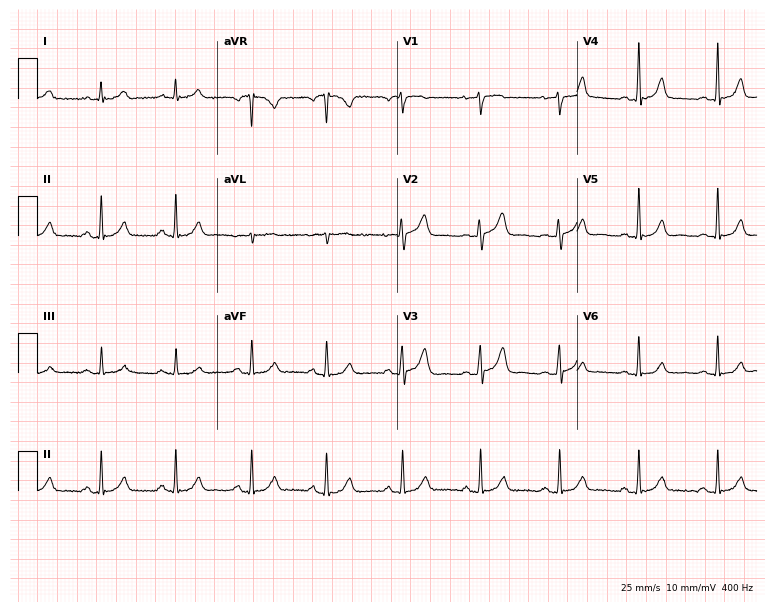
Electrocardiogram (7.3-second recording at 400 Hz), a 51-year-old woman. Overall reading on record: normal ECG.